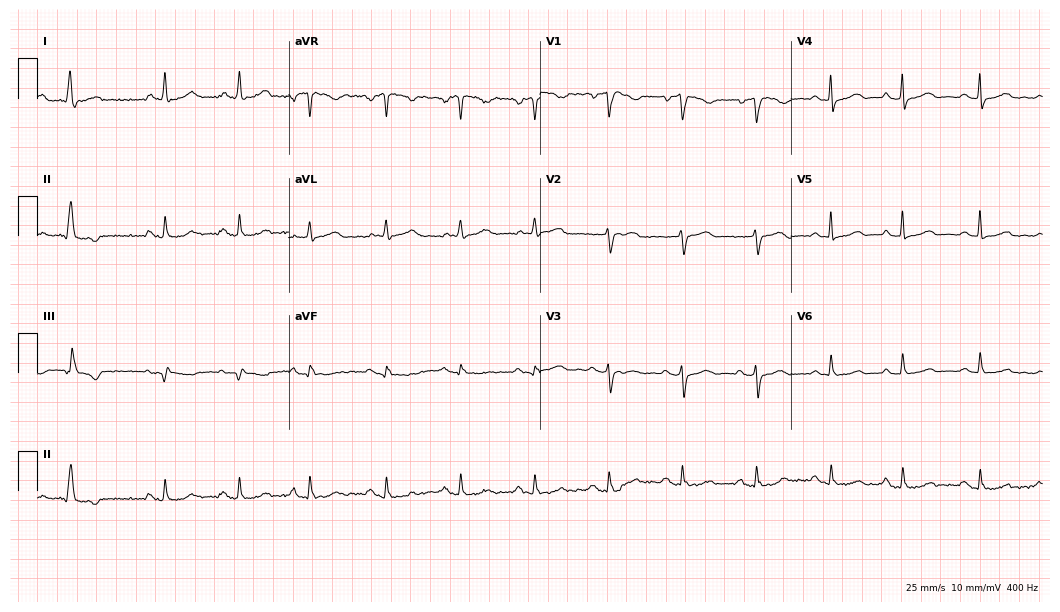
12-lead ECG (10.2-second recording at 400 Hz) from a 69-year-old female. Screened for six findings — first-degree AV block, right bundle branch block, left bundle branch block, sinus bradycardia, atrial fibrillation, sinus tachycardia — none is recorded. Other findings, if any, are not listed.